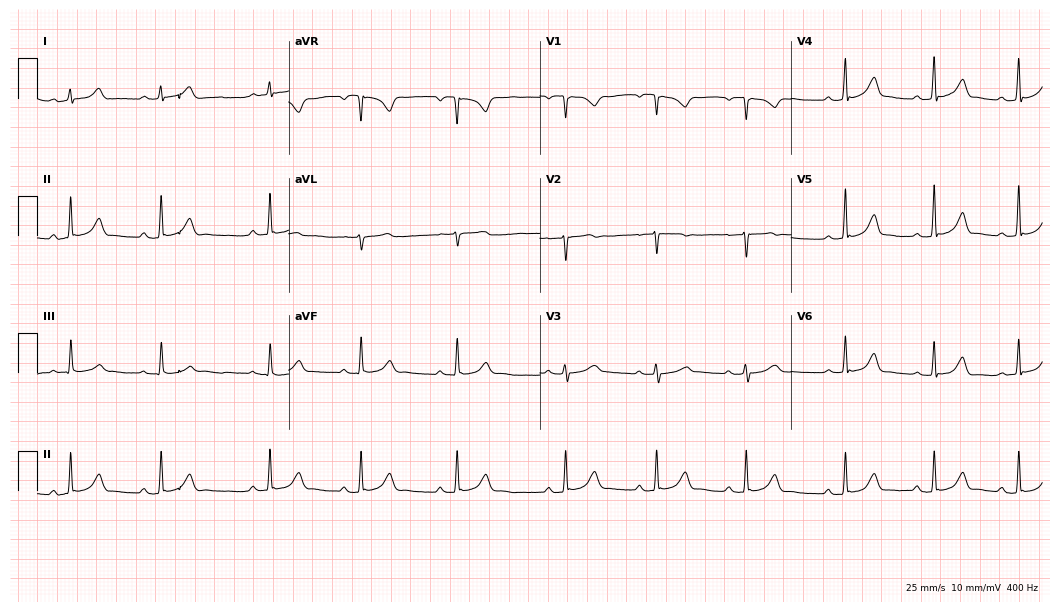
ECG (10.2-second recording at 400 Hz) — a 36-year-old female patient. Labelled as a normal ECG.